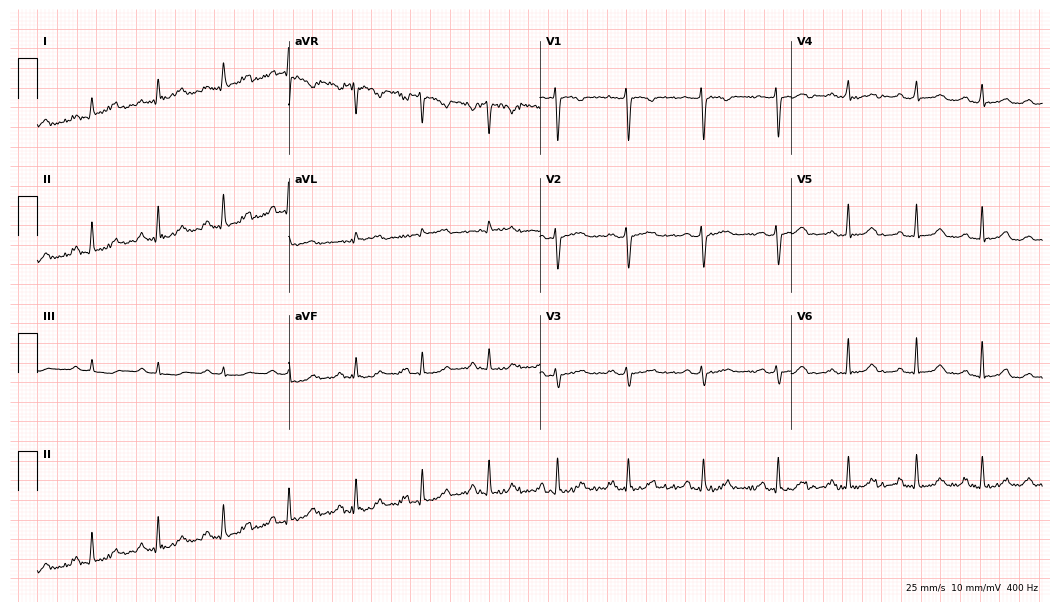
12-lead ECG (10.2-second recording at 400 Hz) from a 32-year-old woman. Labelled as a normal ECG.